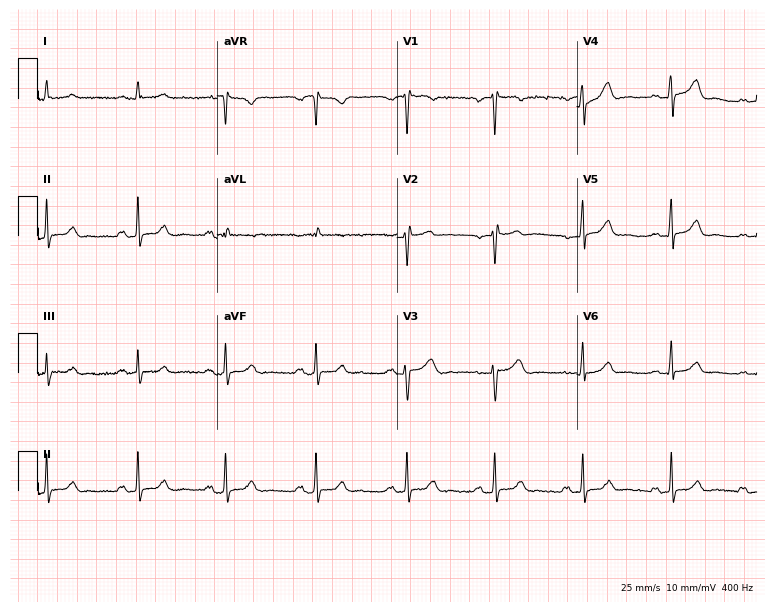
12-lead ECG from a 65-year-old man. No first-degree AV block, right bundle branch block, left bundle branch block, sinus bradycardia, atrial fibrillation or sinus tachycardia recorded for this tracing.